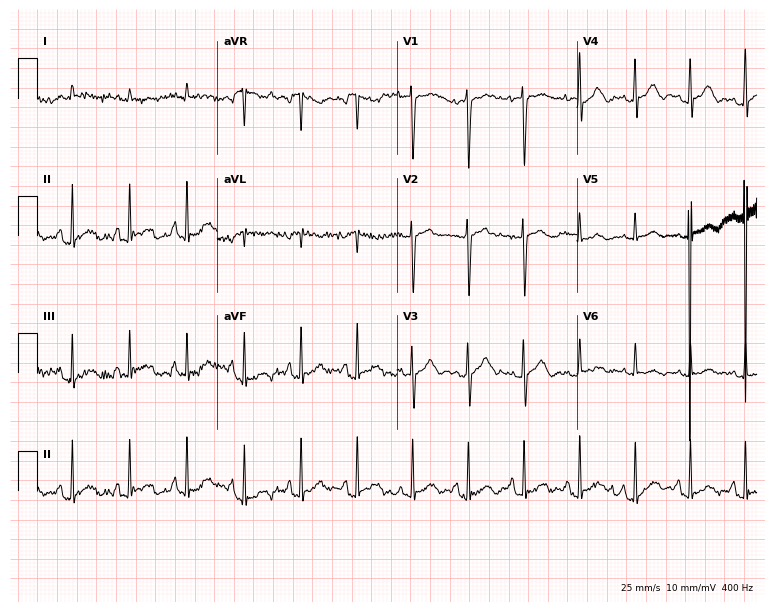
ECG — a male, 22 years old. Findings include sinus tachycardia (a sinus rate of 100 beats per minute or more).